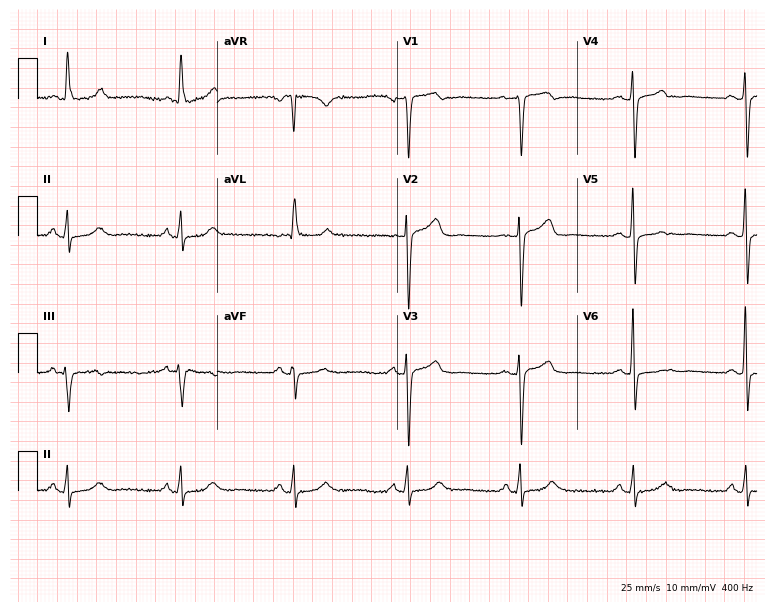
12-lead ECG from a female, 83 years old. Screened for six findings — first-degree AV block, right bundle branch block, left bundle branch block, sinus bradycardia, atrial fibrillation, sinus tachycardia — none is recorded.